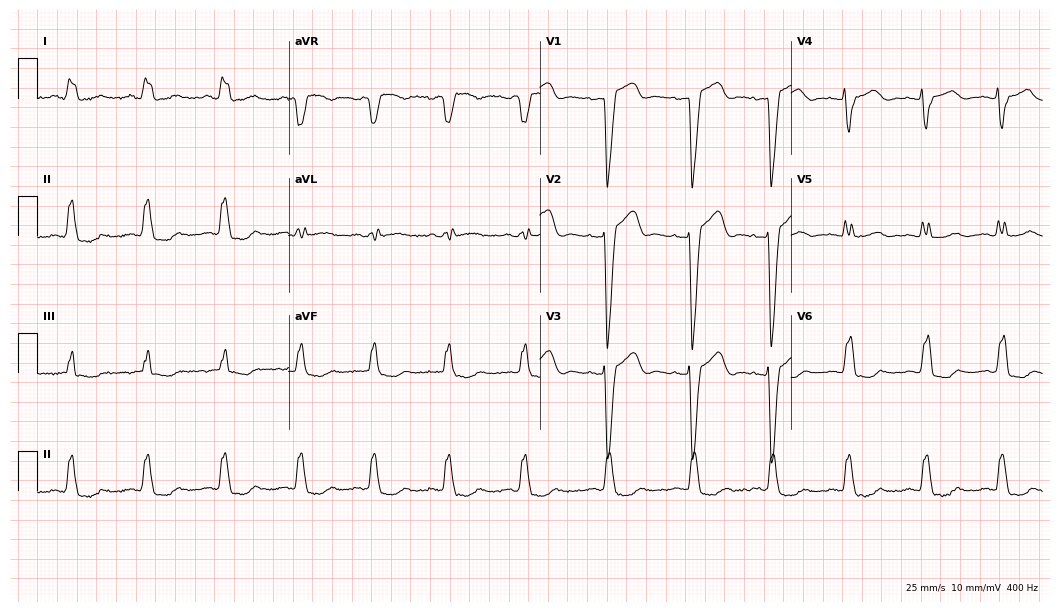
12-lead ECG from a woman, 40 years old. Shows left bundle branch block.